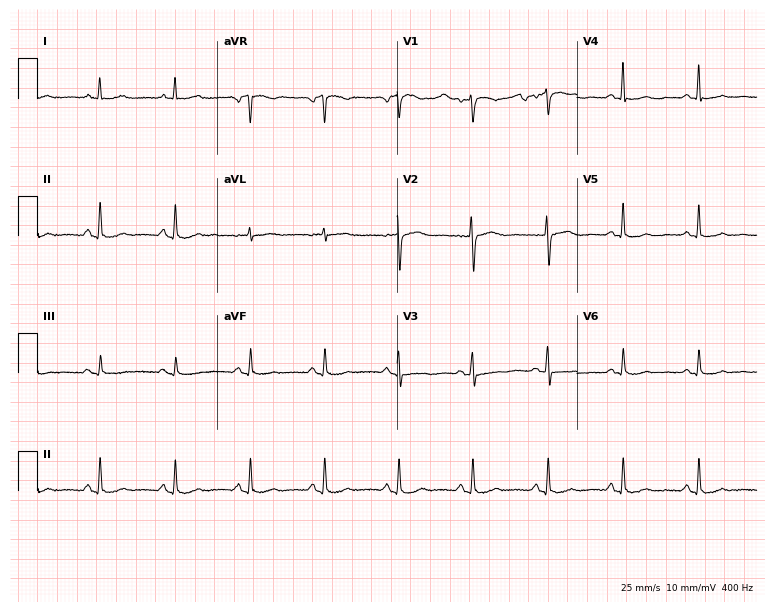
12-lead ECG from a 57-year-old woman. Screened for six findings — first-degree AV block, right bundle branch block (RBBB), left bundle branch block (LBBB), sinus bradycardia, atrial fibrillation (AF), sinus tachycardia — none is recorded.